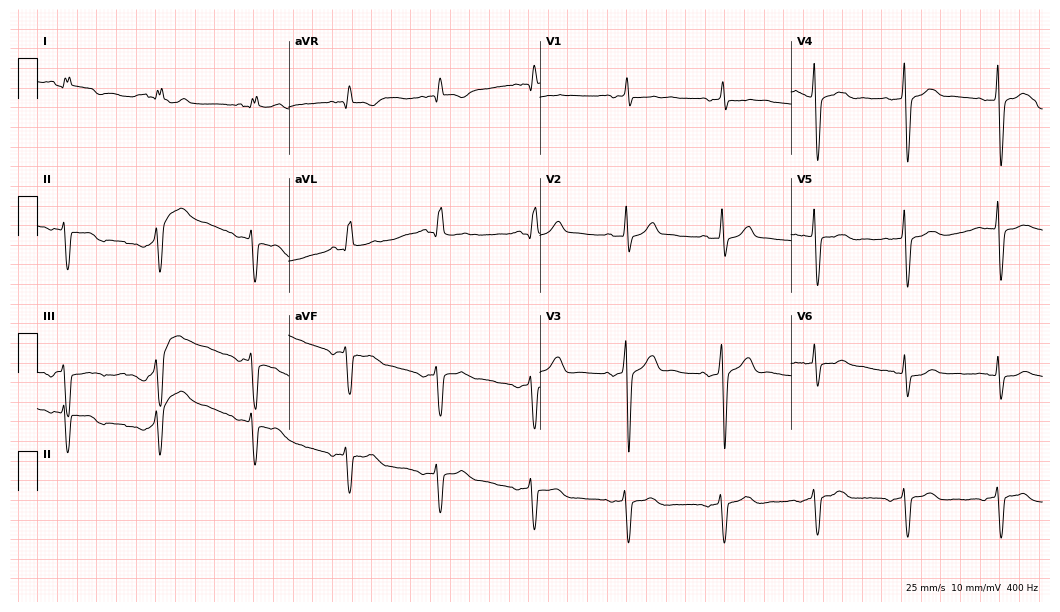
ECG (10.2-second recording at 400 Hz) — a 62-year-old male patient. Screened for six findings — first-degree AV block, right bundle branch block, left bundle branch block, sinus bradycardia, atrial fibrillation, sinus tachycardia — none is recorded.